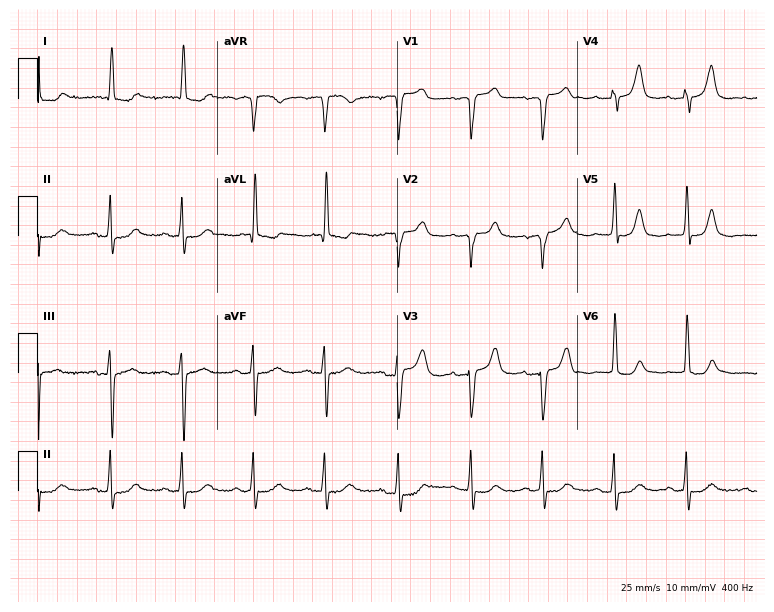
Standard 12-lead ECG recorded from an 85-year-old female patient. None of these six findings is recorded: first-degree AV block, right bundle branch block, left bundle branch block, sinus bradycardia, atrial fibrillation, sinus tachycardia. Findings outside these six are not listed.